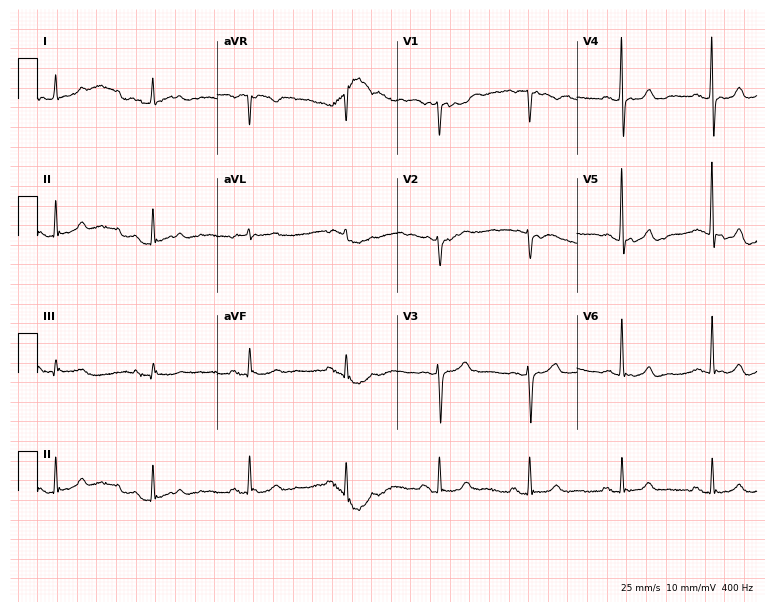
12-lead ECG (7.3-second recording at 400 Hz) from a 59-year-old female patient. Labelled as a normal ECG.